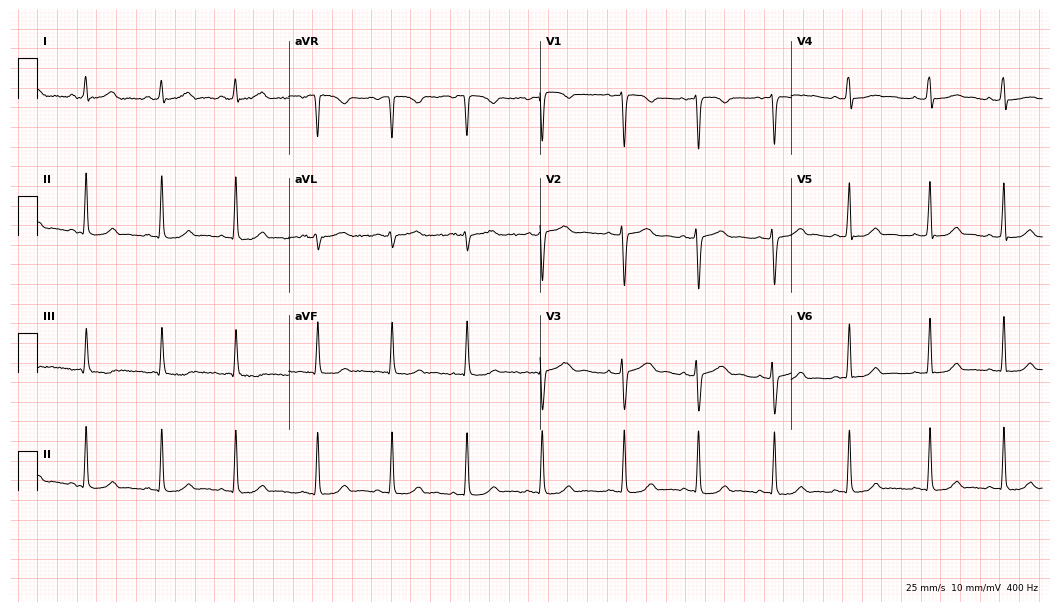
12-lead ECG from a female, 25 years old (10.2-second recording at 400 Hz). Recorded interpretation: within normal limits.